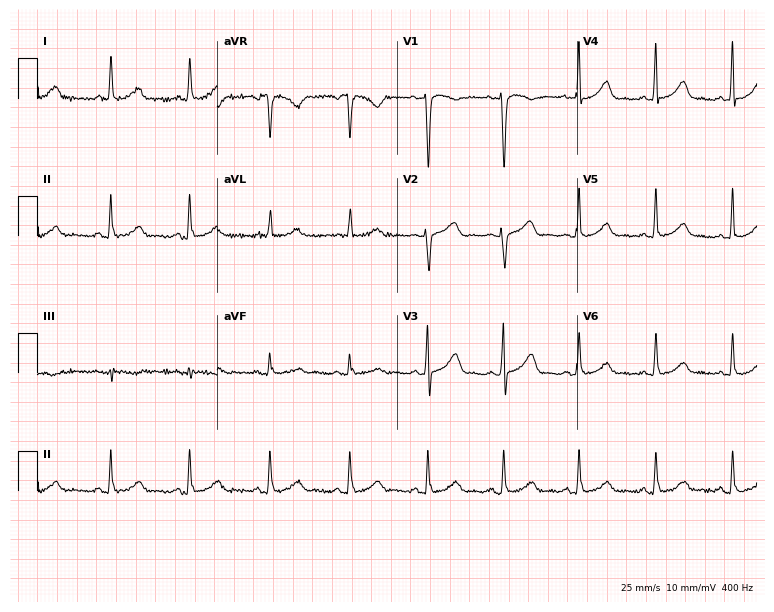
Resting 12-lead electrocardiogram. Patient: a 45-year-old female. Read as a normal ECG.